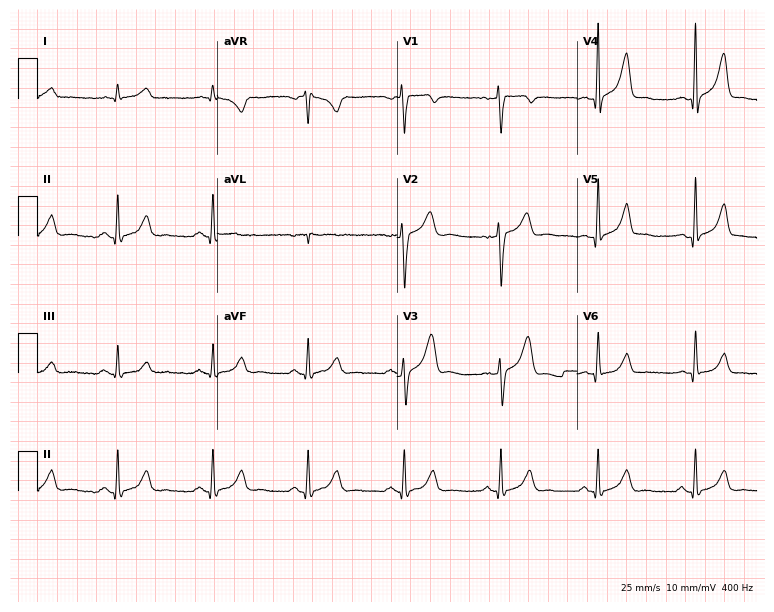
Resting 12-lead electrocardiogram (7.3-second recording at 400 Hz). Patient: a man, 35 years old. None of these six findings is recorded: first-degree AV block, right bundle branch block, left bundle branch block, sinus bradycardia, atrial fibrillation, sinus tachycardia. Other findings, if any, are not listed.